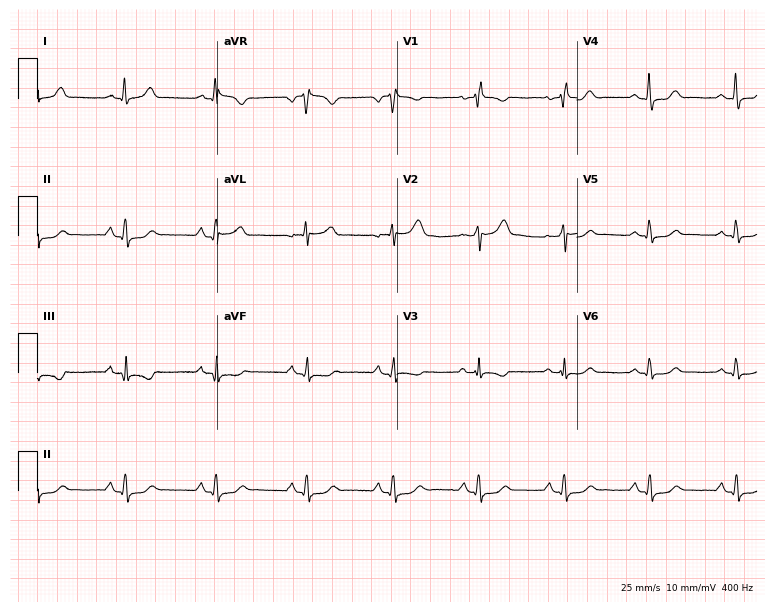
12-lead ECG from a female, 75 years old. Screened for six findings — first-degree AV block, right bundle branch block, left bundle branch block, sinus bradycardia, atrial fibrillation, sinus tachycardia — none is recorded. Findings outside these six are not listed.